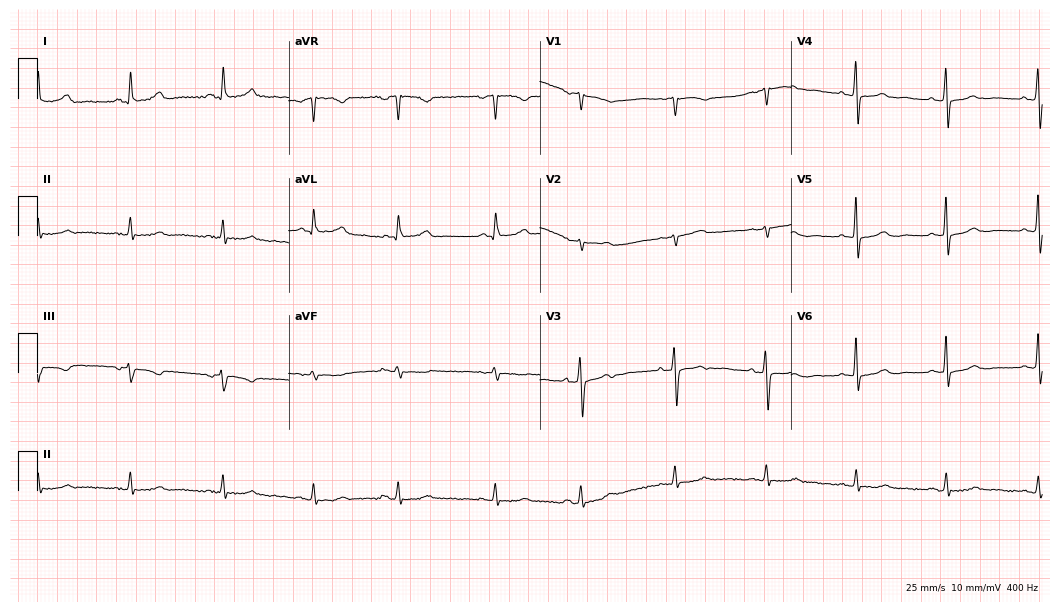
ECG (10.2-second recording at 400 Hz) — a woman, 61 years old. Labelled as a normal ECG.